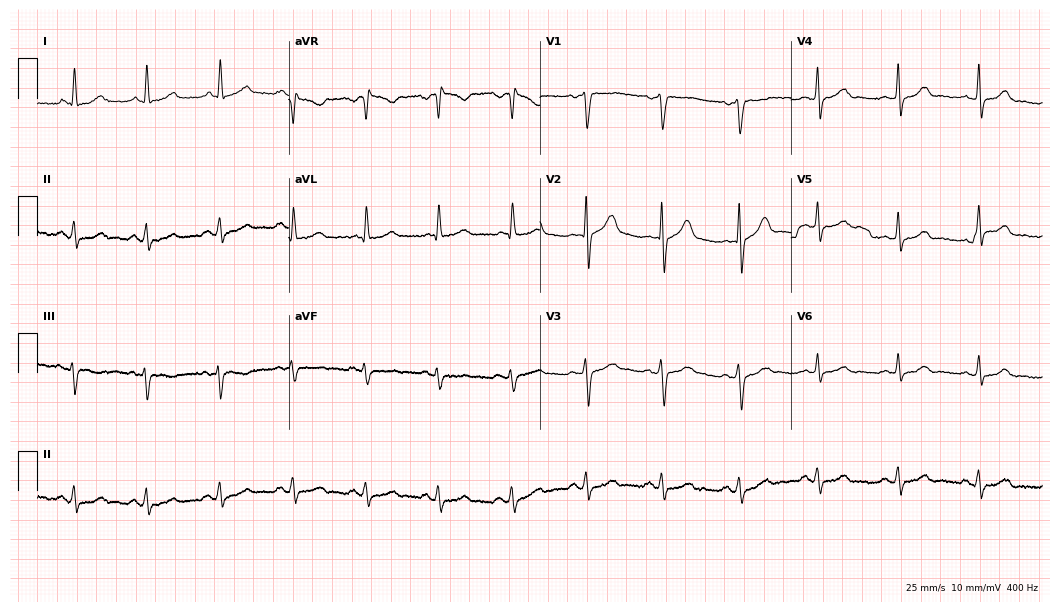
12-lead ECG from a 60-year-old male. Labelled as a normal ECG.